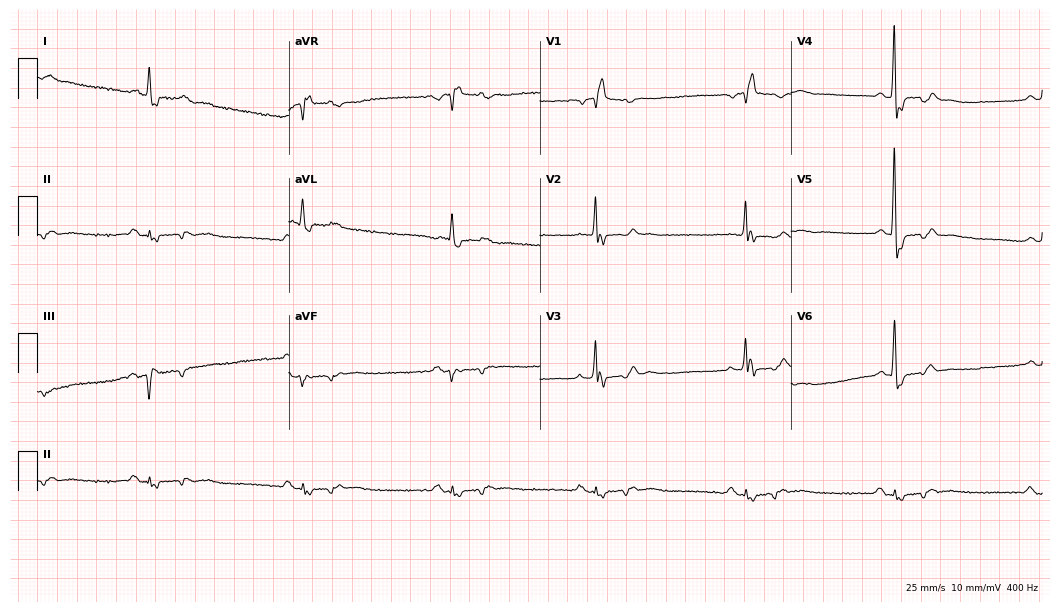
Electrocardiogram, an 85-year-old male. Interpretation includes right bundle branch block, sinus bradycardia (a sinus rate of 50 beats per minute or less).